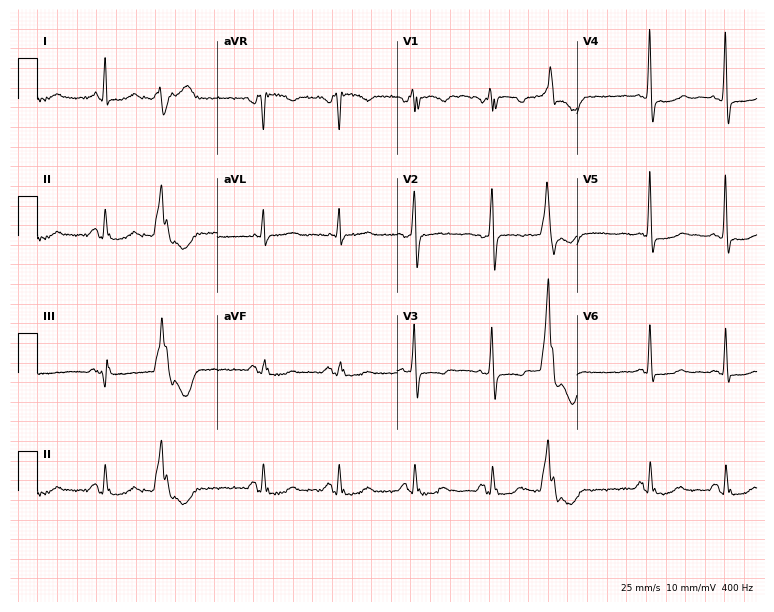
Resting 12-lead electrocardiogram (7.3-second recording at 400 Hz). Patient: a 61-year-old female. None of these six findings is recorded: first-degree AV block, right bundle branch block, left bundle branch block, sinus bradycardia, atrial fibrillation, sinus tachycardia.